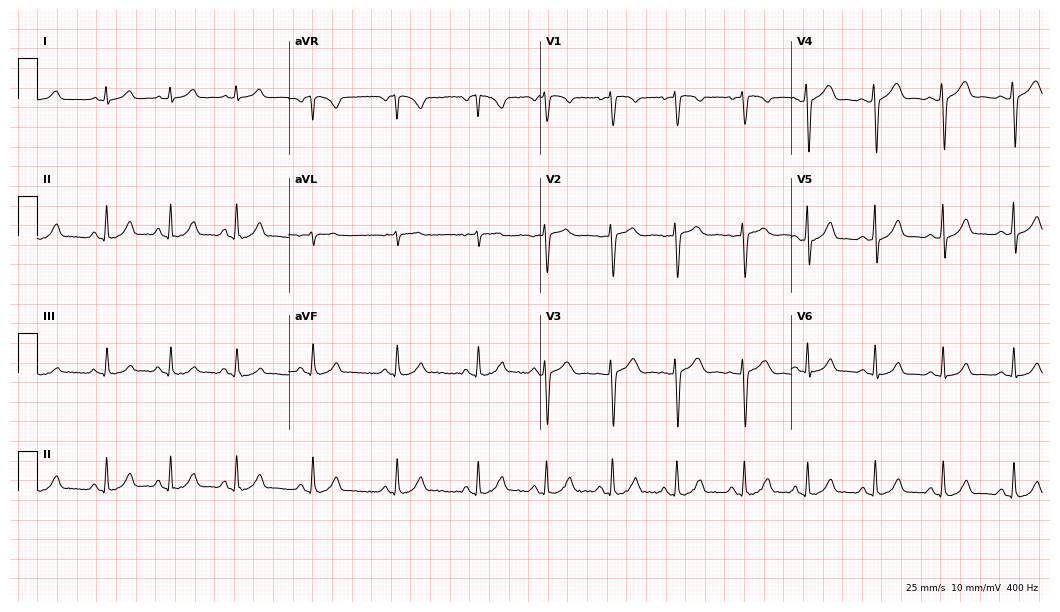
12-lead ECG (10.2-second recording at 400 Hz) from a 23-year-old woman. Labelled as a normal ECG.